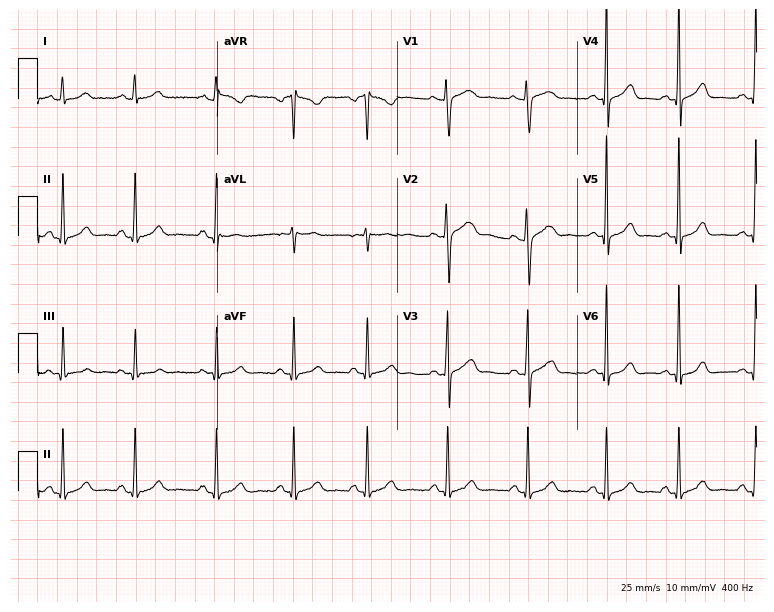
ECG (7.3-second recording at 400 Hz) — a female patient, 35 years old. Labelled as a normal ECG.